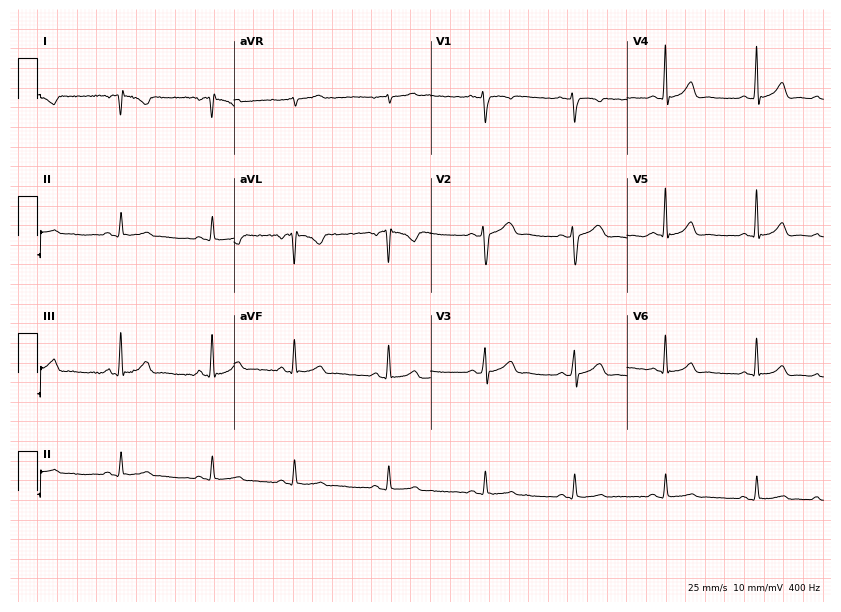
12-lead ECG (8-second recording at 400 Hz) from a woman, 24 years old. Screened for six findings — first-degree AV block, right bundle branch block, left bundle branch block, sinus bradycardia, atrial fibrillation, sinus tachycardia — none is recorded. Other findings, if any, are not listed.